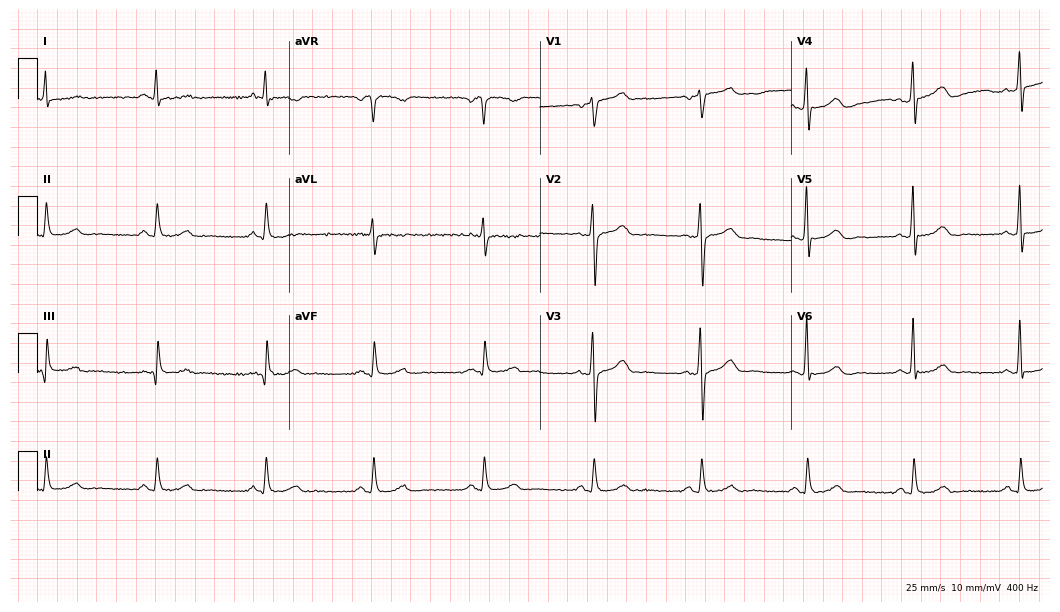
12-lead ECG from a male patient, 64 years old. No first-degree AV block, right bundle branch block (RBBB), left bundle branch block (LBBB), sinus bradycardia, atrial fibrillation (AF) or sinus tachycardia recorded for this tracing. Other findings, if any, are not listed.